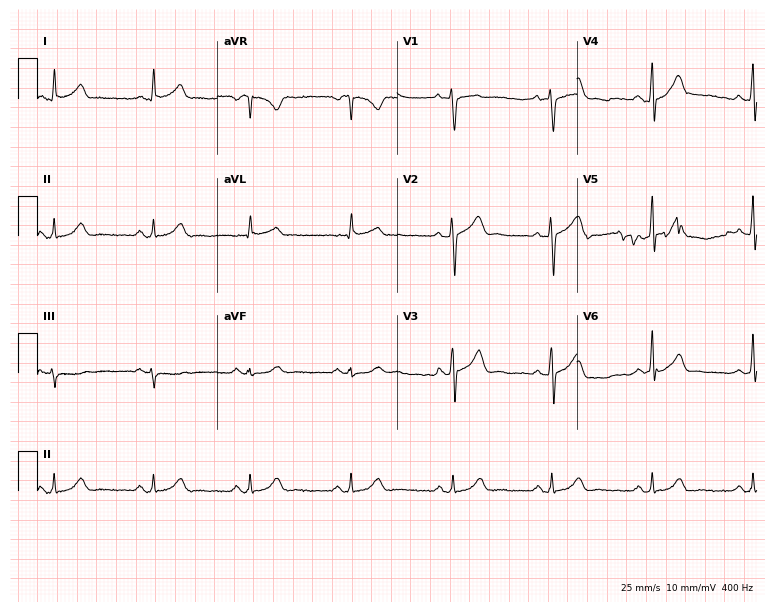
Resting 12-lead electrocardiogram (7.3-second recording at 400 Hz). Patient: a male, 36 years old. Read as a normal ECG.